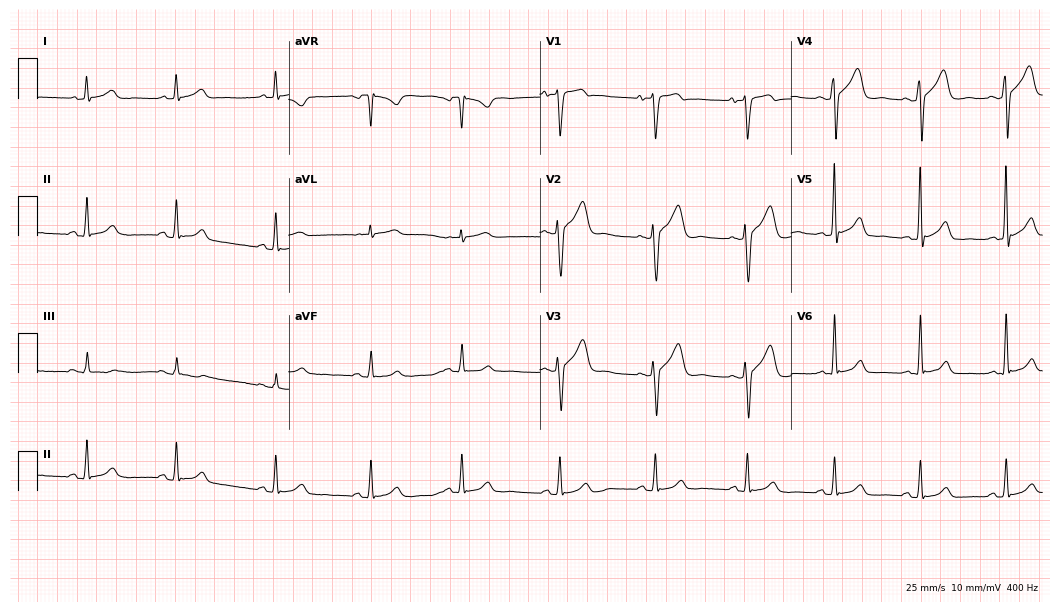
Resting 12-lead electrocardiogram. Patient: a male, 53 years old. Read as a normal ECG.